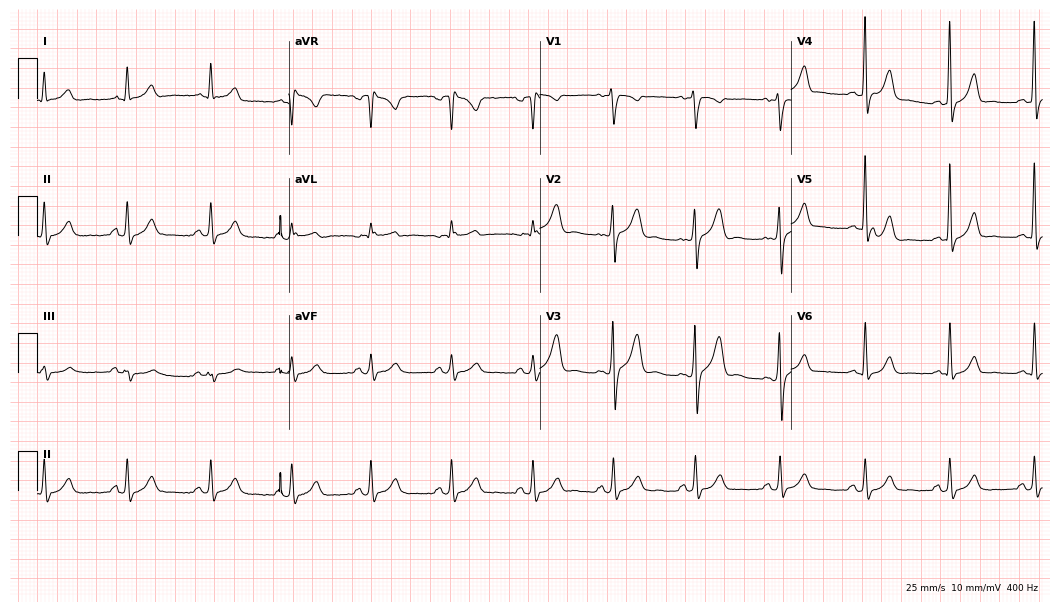
12-lead ECG (10.2-second recording at 400 Hz) from a 37-year-old male patient. Labelled as a normal ECG.